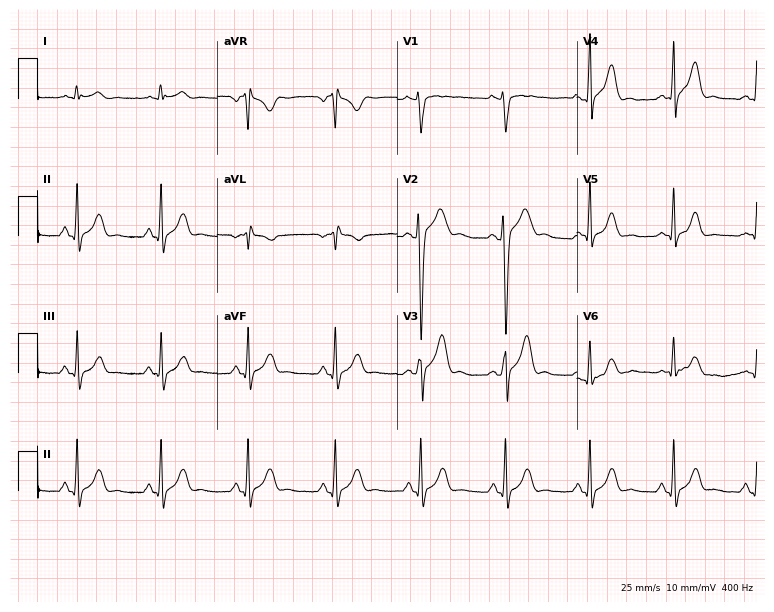
12-lead ECG (7.3-second recording at 400 Hz) from a 38-year-old male patient. Labelled as a normal ECG.